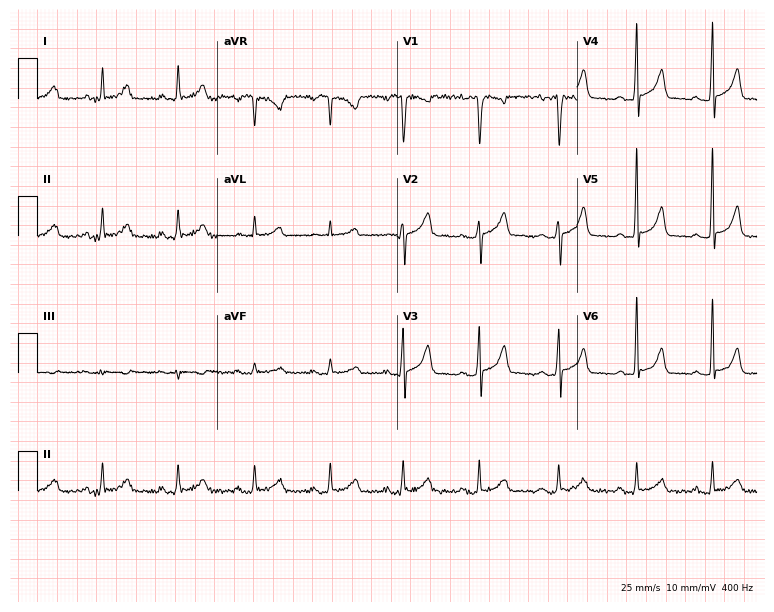
Standard 12-lead ECG recorded from a female patient, 32 years old (7.3-second recording at 400 Hz). Read as a normal ECG.